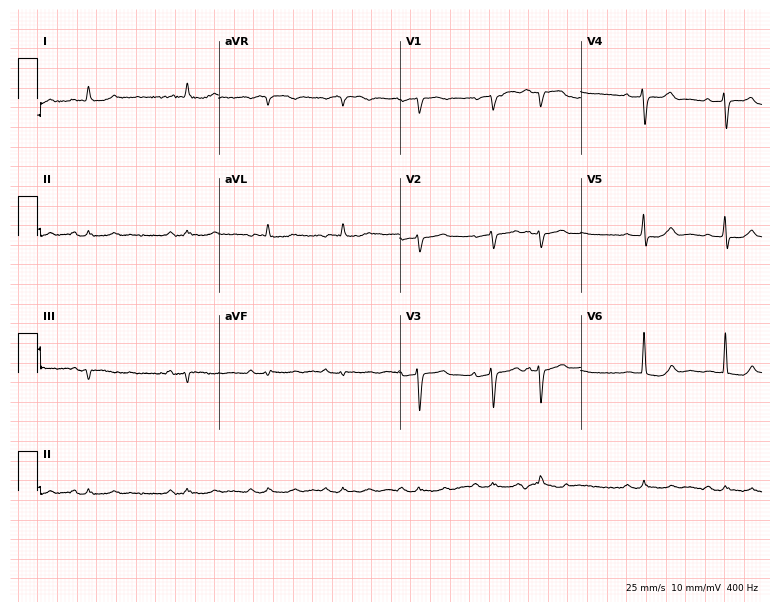
Standard 12-lead ECG recorded from an 80-year-old woman (7.4-second recording at 400 Hz). None of these six findings is recorded: first-degree AV block, right bundle branch block, left bundle branch block, sinus bradycardia, atrial fibrillation, sinus tachycardia.